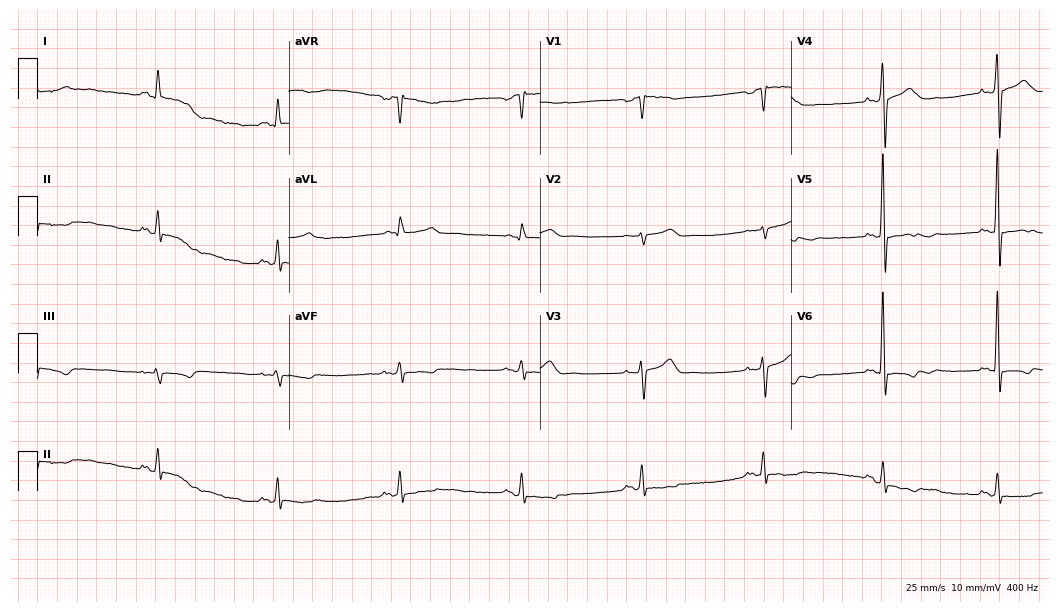
Electrocardiogram (10.2-second recording at 400 Hz), a male, 60 years old. Interpretation includes sinus bradycardia (a sinus rate of 50 beats per minute or less).